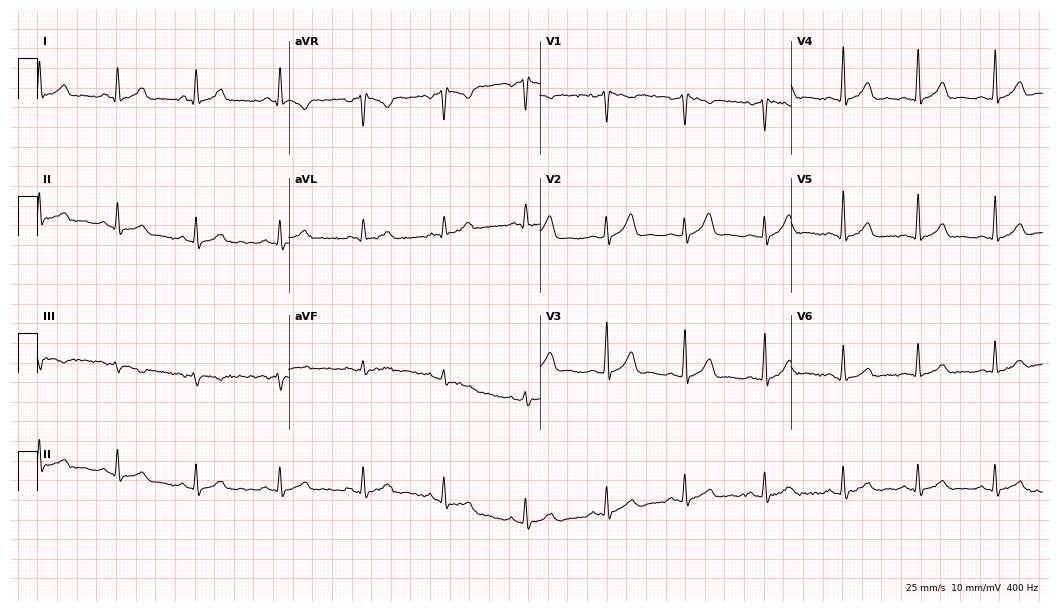
ECG (10.2-second recording at 400 Hz) — a man, 43 years old. Screened for six findings — first-degree AV block, right bundle branch block, left bundle branch block, sinus bradycardia, atrial fibrillation, sinus tachycardia — none is recorded. Only these six findings were labelled.